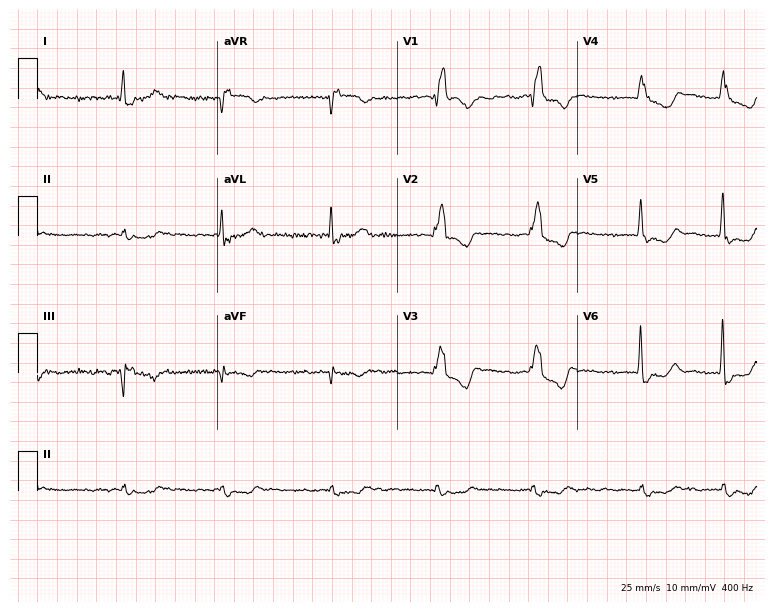
Resting 12-lead electrocardiogram (7.3-second recording at 400 Hz). Patient: an 82-year-old female. The tracing shows right bundle branch block, atrial fibrillation.